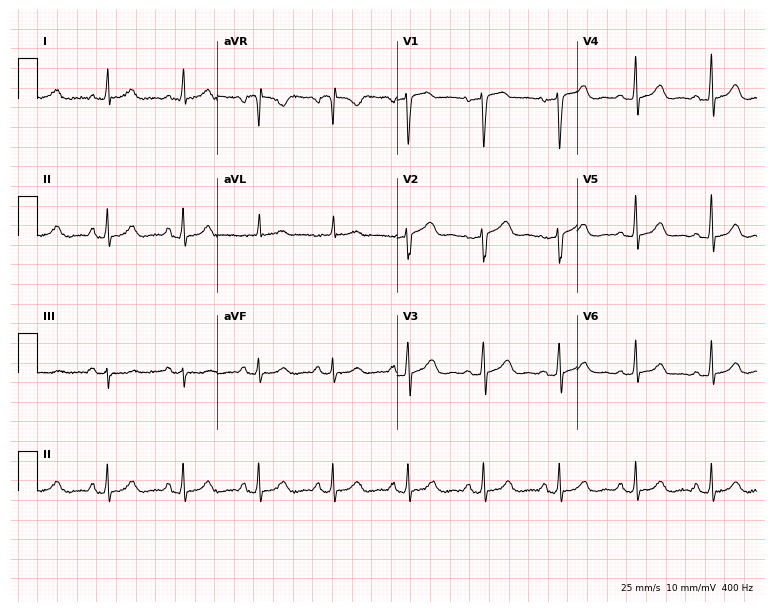
Standard 12-lead ECG recorded from a female, 56 years old. Read as a normal ECG.